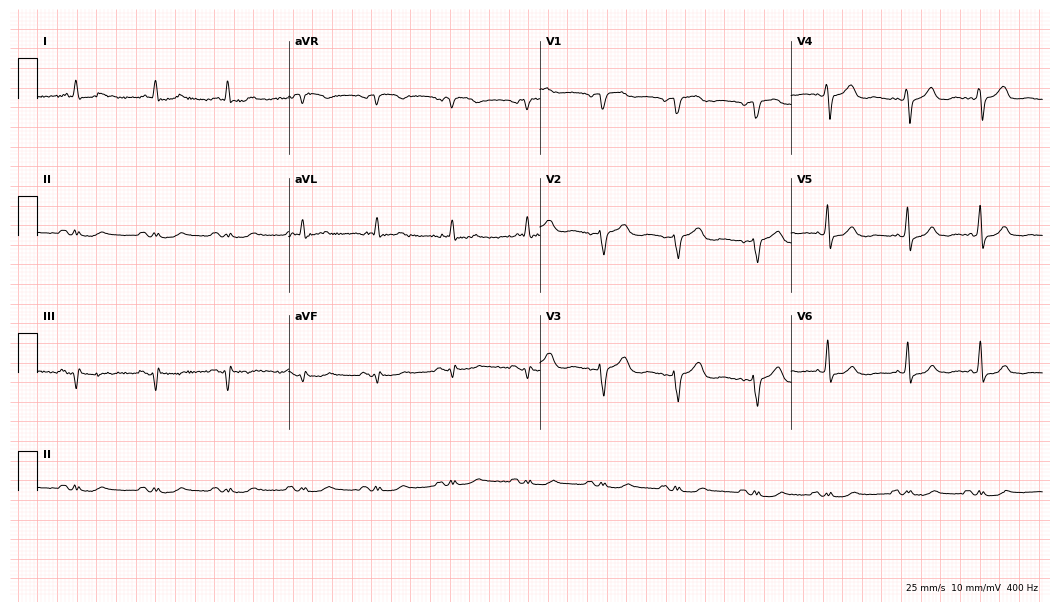
Electrocardiogram (10.2-second recording at 400 Hz), a male patient, 72 years old. Overall reading on record: normal ECG.